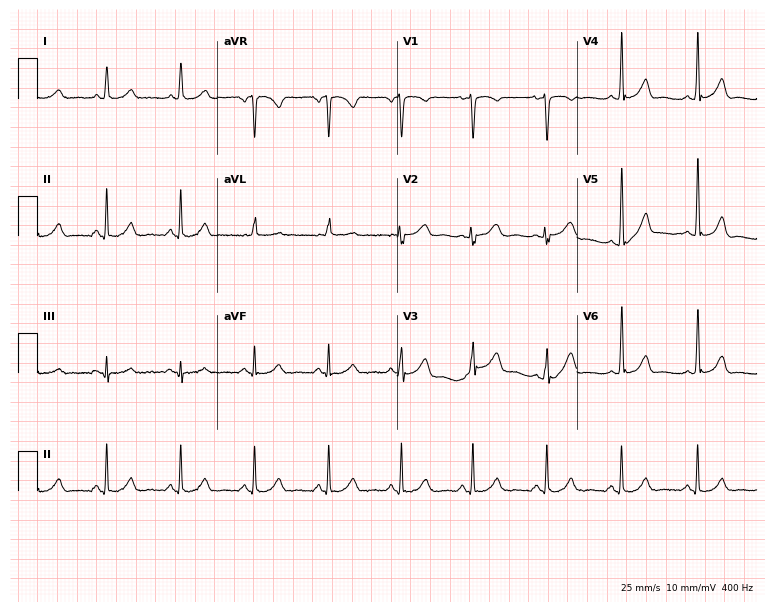
Standard 12-lead ECG recorded from a female patient, 33 years old (7.3-second recording at 400 Hz). None of these six findings is recorded: first-degree AV block, right bundle branch block, left bundle branch block, sinus bradycardia, atrial fibrillation, sinus tachycardia. Other findings, if any, are not listed.